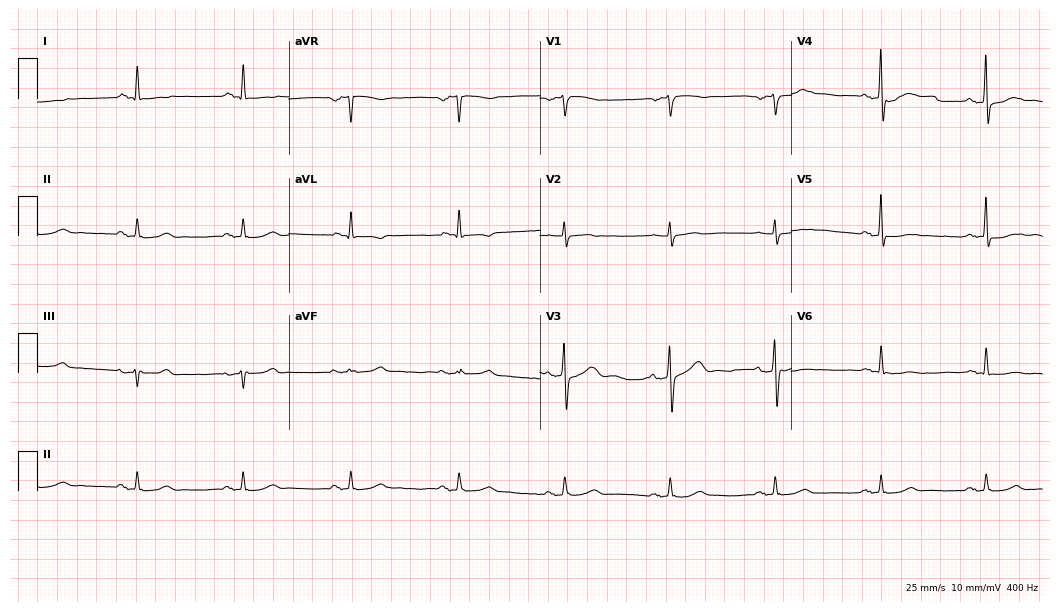
12-lead ECG from a male patient, 79 years old. Recorded interpretation: within normal limits.